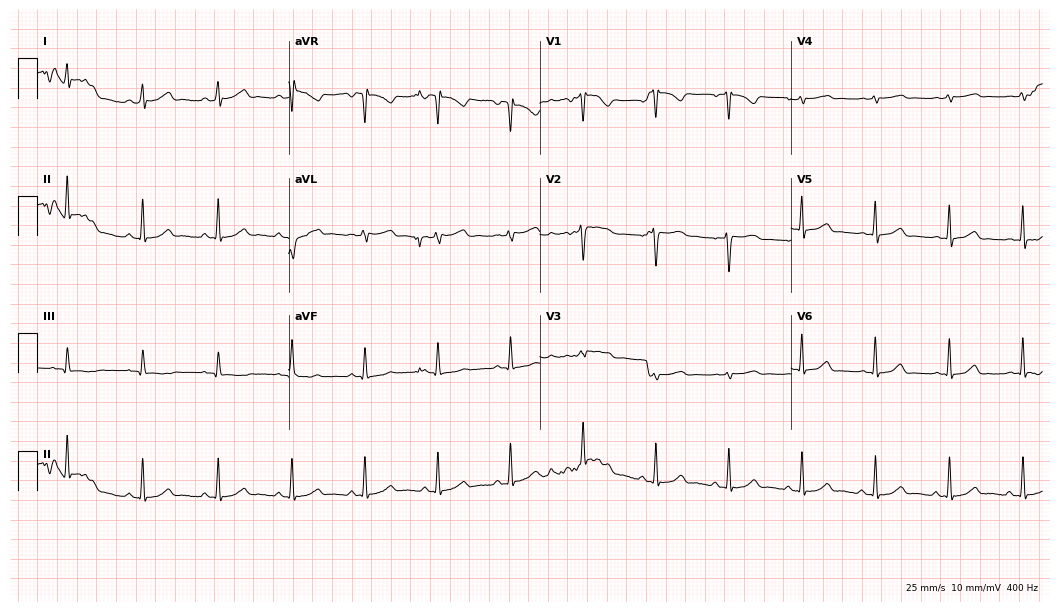
Standard 12-lead ECG recorded from a female patient, 31 years old. Read as a normal ECG.